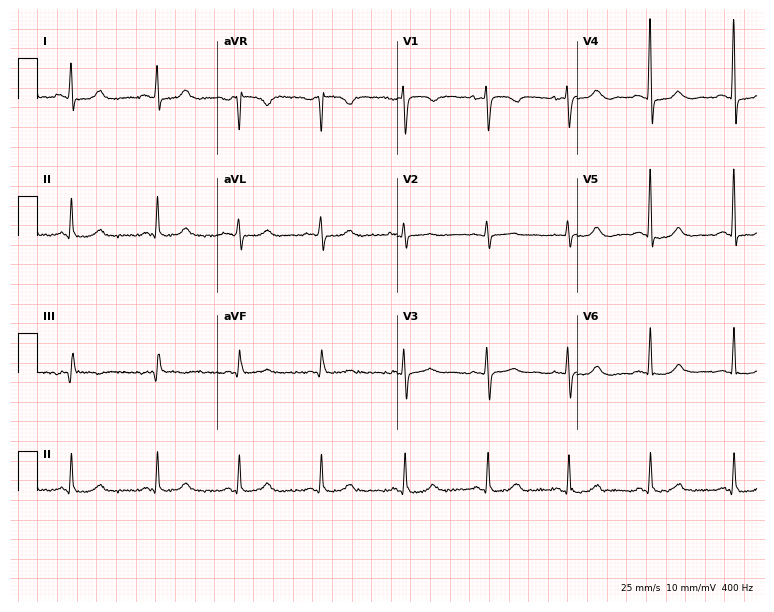
ECG (7.3-second recording at 400 Hz) — a female, 70 years old. Screened for six findings — first-degree AV block, right bundle branch block, left bundle branch block, sinus bradycardia, atrial fibrillation, sinus tachycardia — none is recorded. Other findings, if any, are not listed.